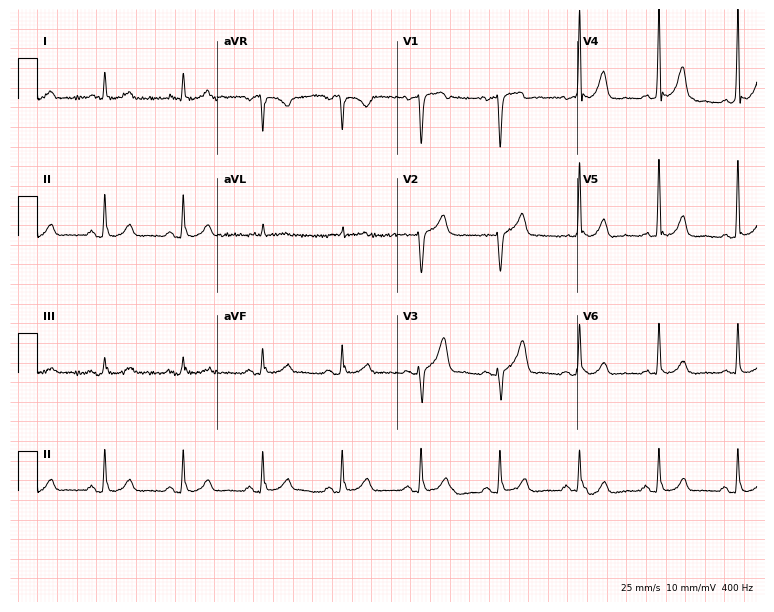
12-lead ECG from a 78-year-old man. No first-degree AV block, right bundle branch block, left bundle branch block, sinus bradycardia, atrial fibrillation or sinus tachycardia recorded for this tracing. Findings outside these six are not listed.